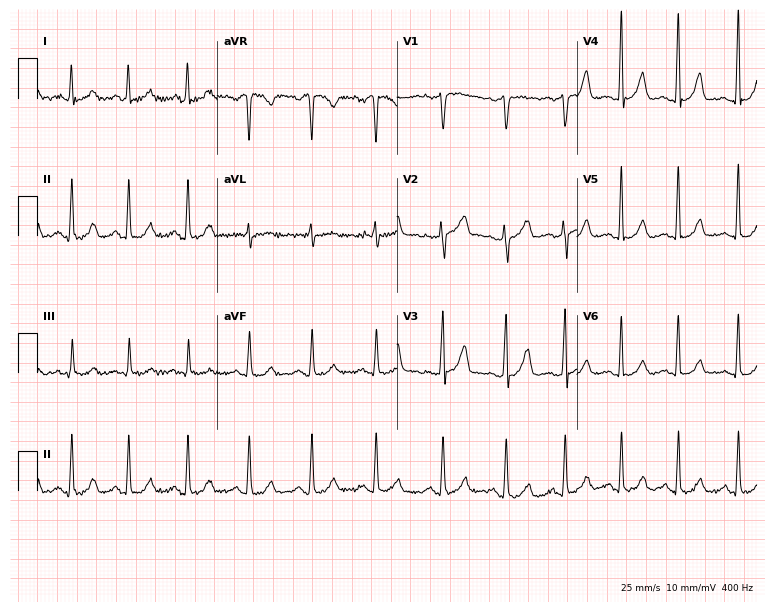
12-lead ECG from a woman, 49 years old (7.3-second recording at 400 Hz). Recorded interpretation: within normal limits.